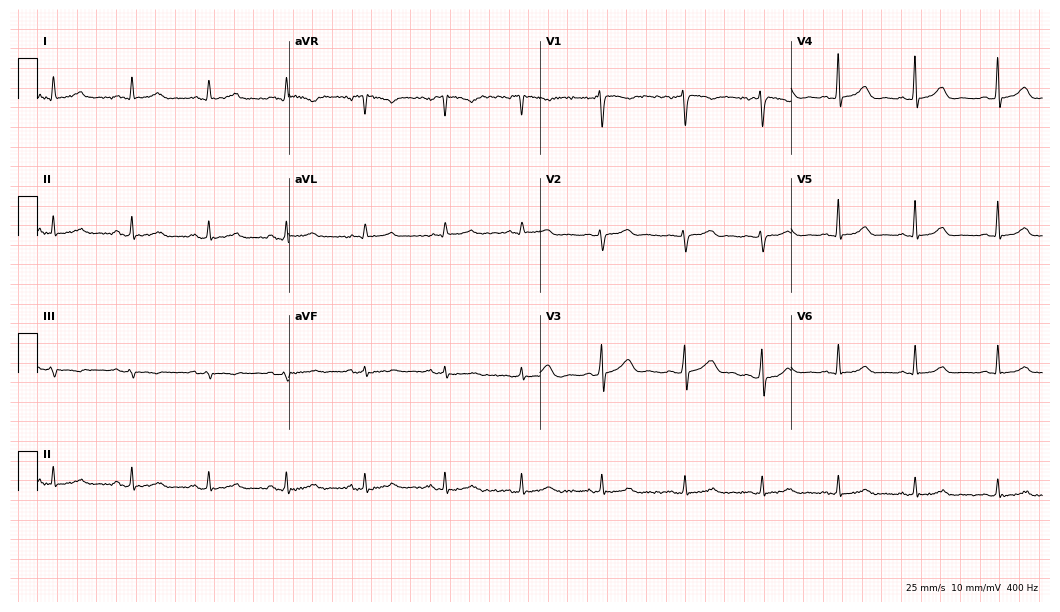
Electrocardiogram (10.2-second recording at 400 Hz), a 57-year-old female. Overall reading on record: normal ECG.